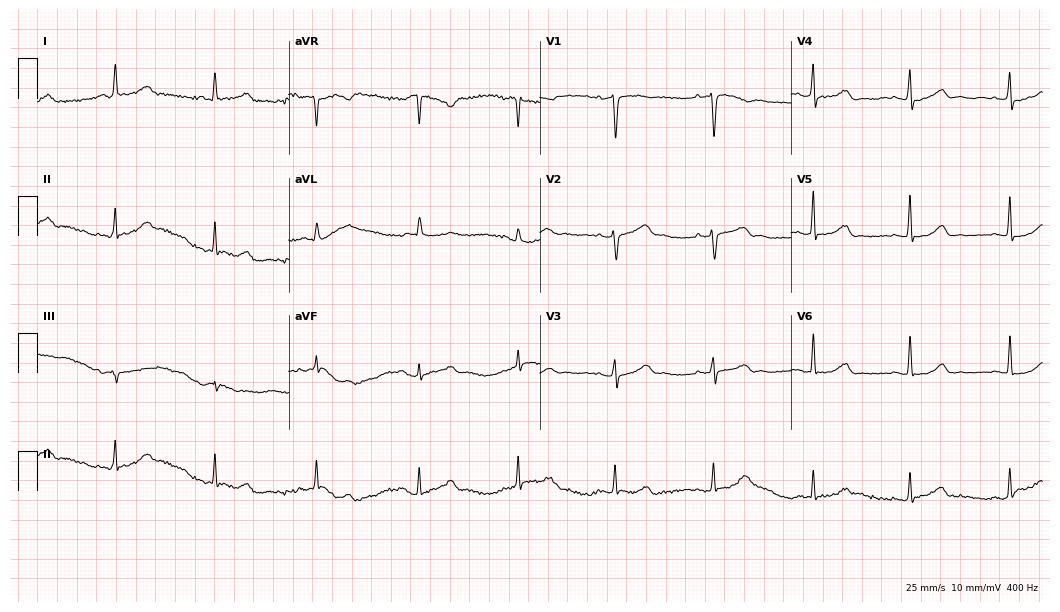
ECG — a 48-year-old woman. Screened for six findings — first-degree AV block, right bundle branch block, left bundle branch block, sinus bradycardia, atrial fibrillation, sinus tachycardia — none is recorded.